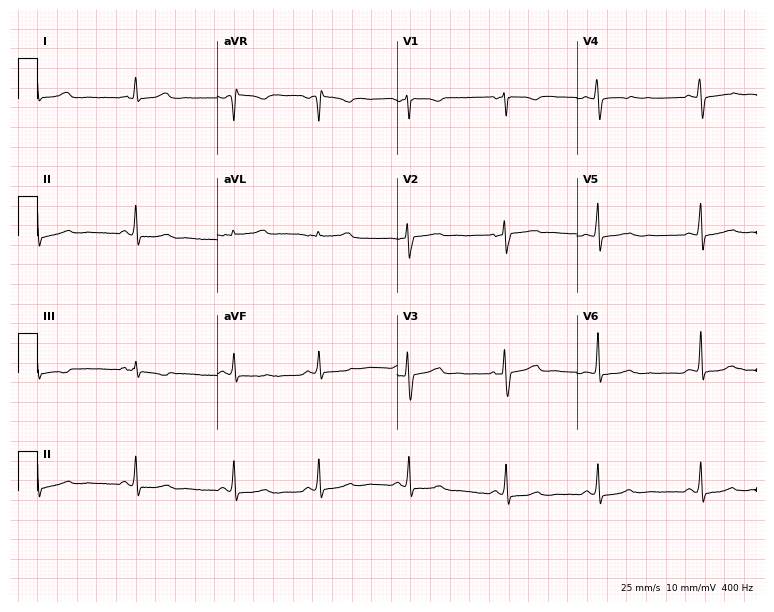
Standard 12-lead ECG recorded from a 40-year-old female patient (7.3-second recording at 400 Hz). None of these six findings is recorded: first-degree AV block, right bundle branch block (RBBB), left bundle branch block (LBBB), sinus bradycardia, atrial fibrillation (AF), sinus tachycardia.